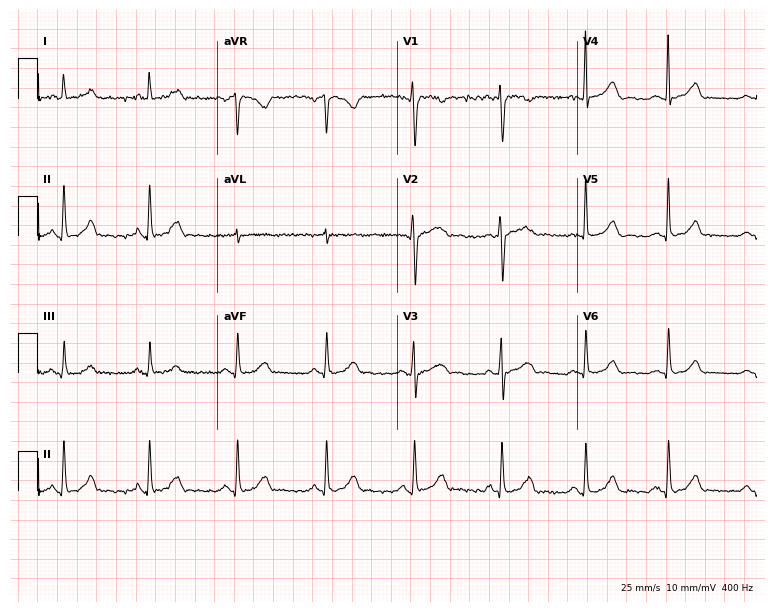
12-lead ECG (7.3-second recording at 400 Hz) from a woman, 46 years old. Labelled as a normal ECG.